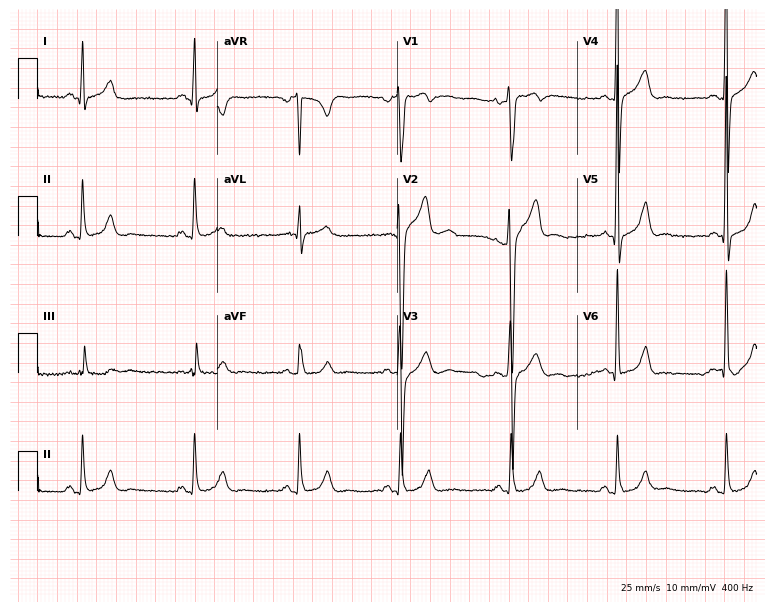
Standard 12-lead ECG recorded from a man, 28 years old (7.3-second recording at 400 Hz). None of these six findings is recorded: first-degree AV block, right bundle branch block (RBBB), left bundle branch block (LBBB), sinus bradycardia, atrial fibrillation (AF), sinus tachycardia. Only these six findings were labelled.